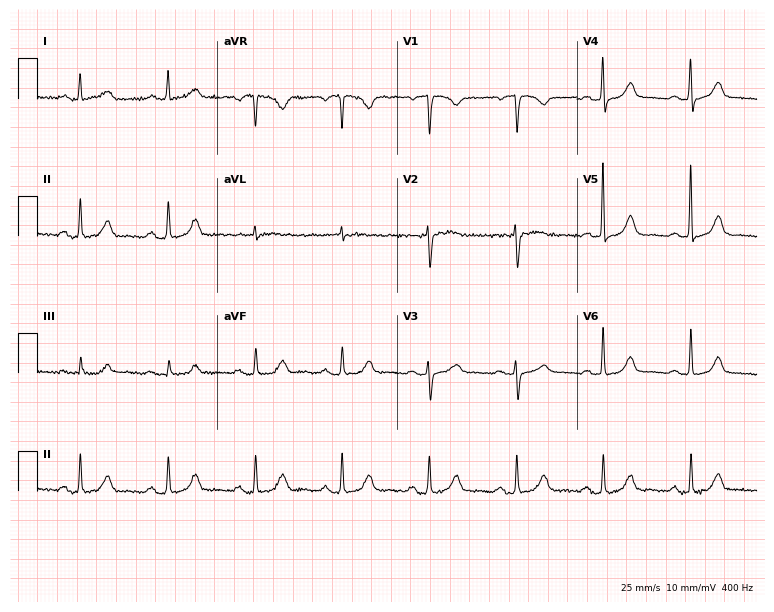
Electrocardiogram (7.3-second recording at 400 Hz), a female patient, 66 years old. Overall reading on record: normal ECG.